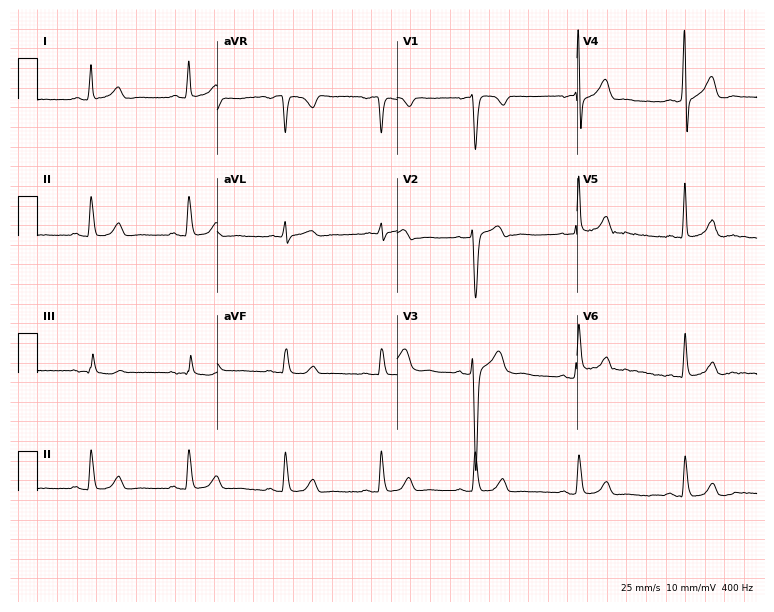
12-lead ECG from a 29-year-old male (7.3-second recording at 400 Hz). No first-degree AV block, right bundle branch block, left bundle branch block, sinus bradycardia, atrial fibrillation or sinus tachycardia recorded for this tracing.